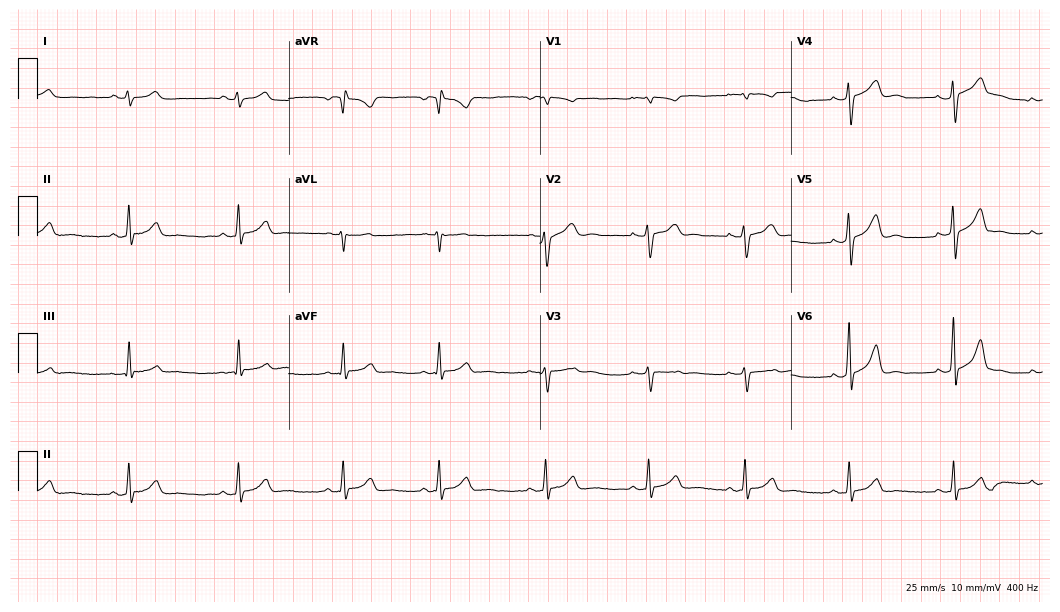
12-lead ECG from a 21-year-old woman. Recorded interpretation: within normal limits.